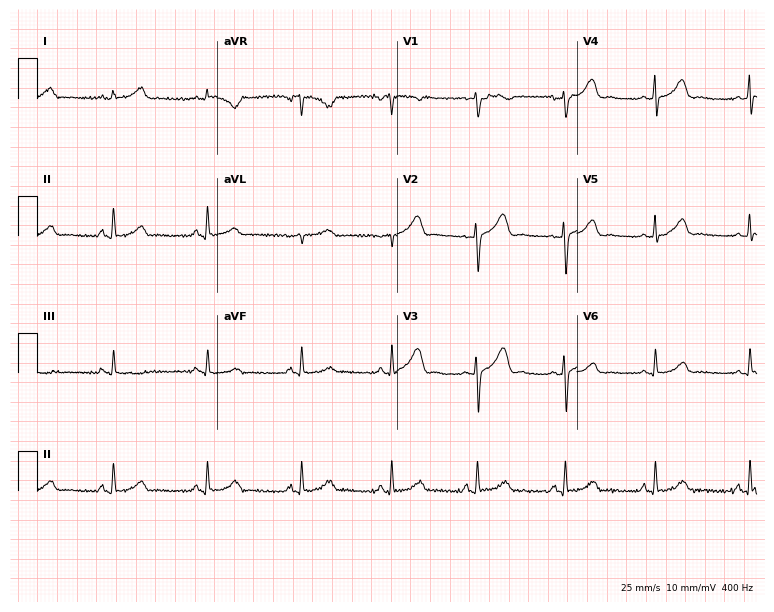
12-lead ECG (7.3-second recording at 400 Hz) from a 34-year-old female. Labelled as a normal ECG.